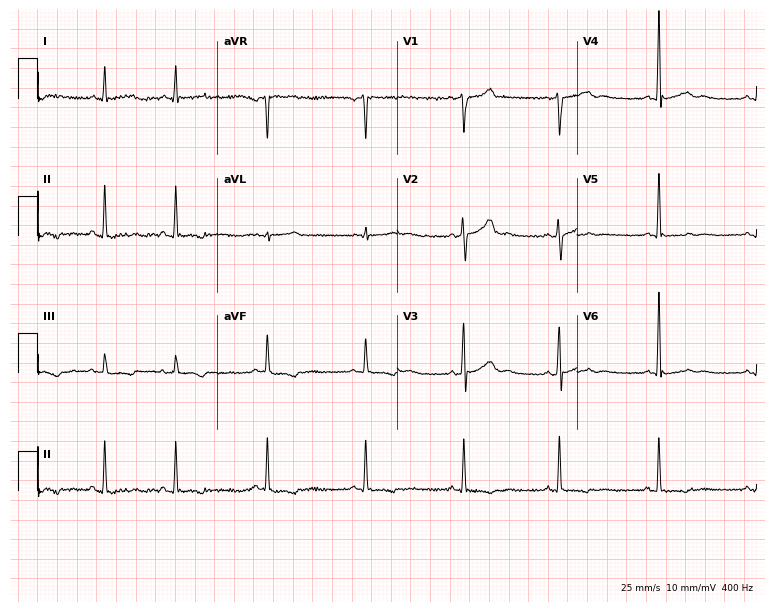
12-lead ECG from a male, 47 years old (7.3-second recording at 400 Hz). No first-degree AV block, right bundle branch block, left bundle branch block, sinus bradycardia, atrial fibrillation or sinus tachycardia recorded for this tracing.